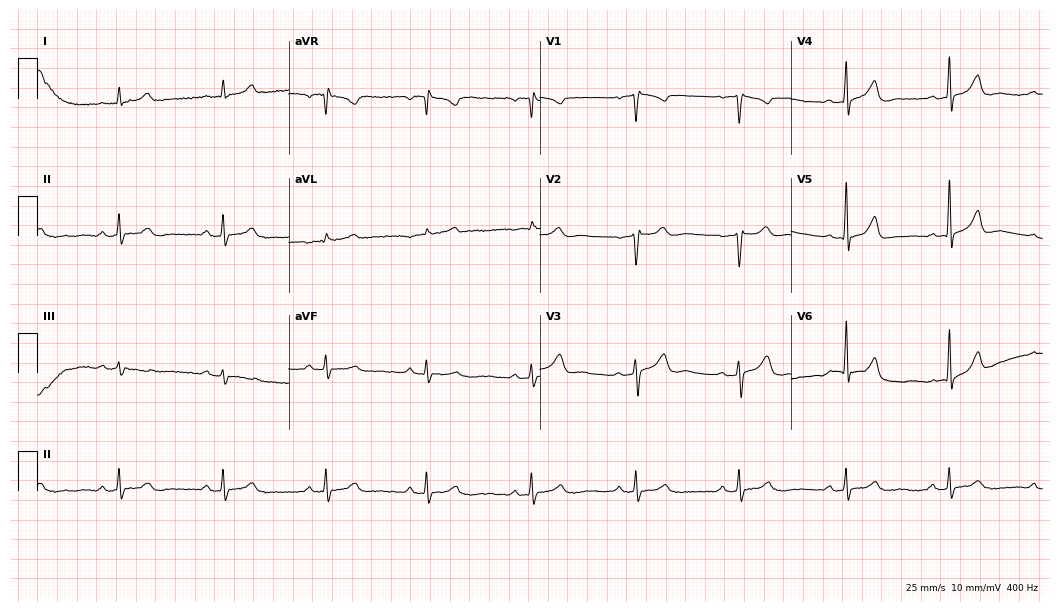
Standard 12-lead ECG recorded from a 44-year-old man (10.2-second recording at 400 Hz). Read as a normal ECG.